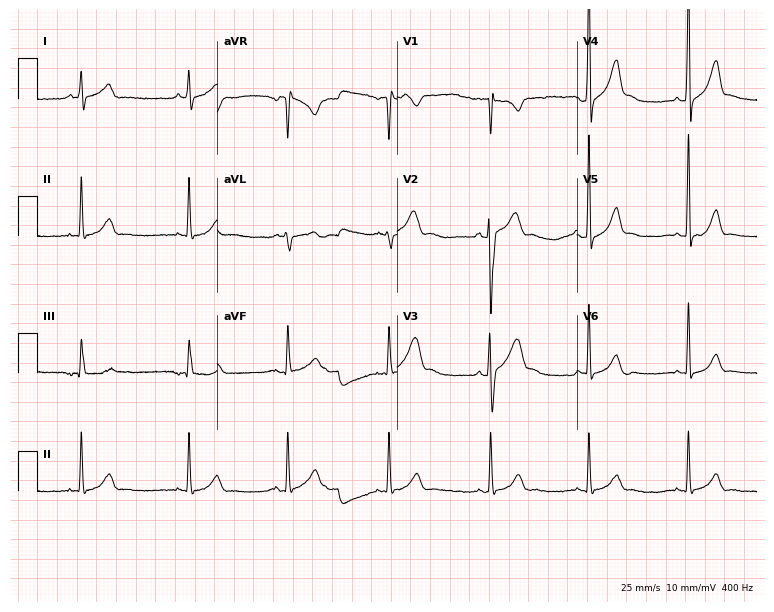
Standard 12-lead ECG recorded from a 28-year-old male patient (7.3-second recording at 400 Hz). Read as a normal ECG.